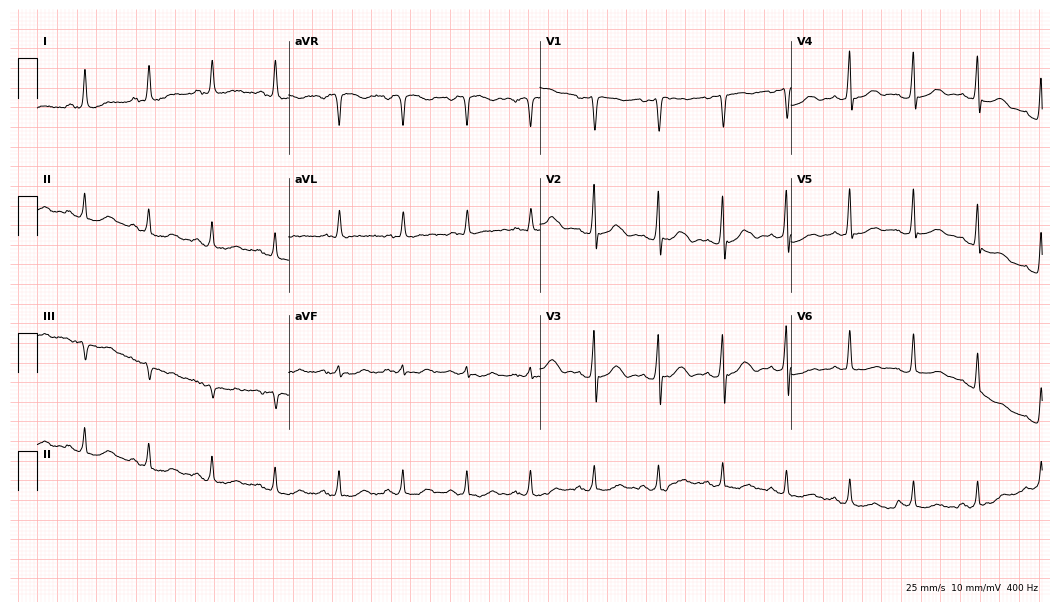
Resting 12-lead electrocardiogram (10.2-second recording at 400 Hz). Patient: a 55-year-old female. Read as a normal ECG.